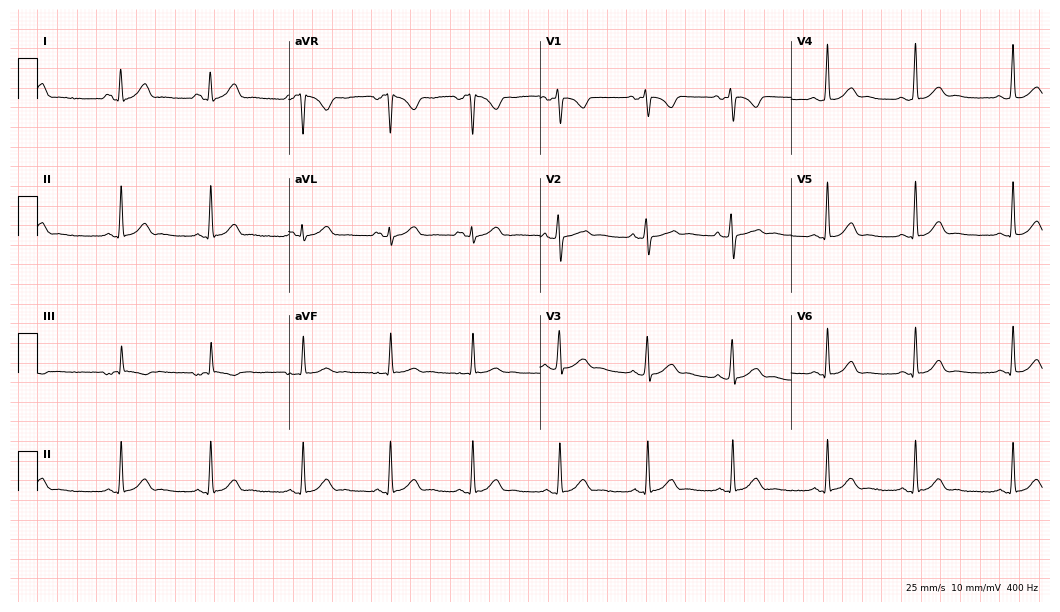
Standard 12-lead ECG recorded from a female, 19 years old (10.2-second recording at 400 Hz). Read as a normal ECG.